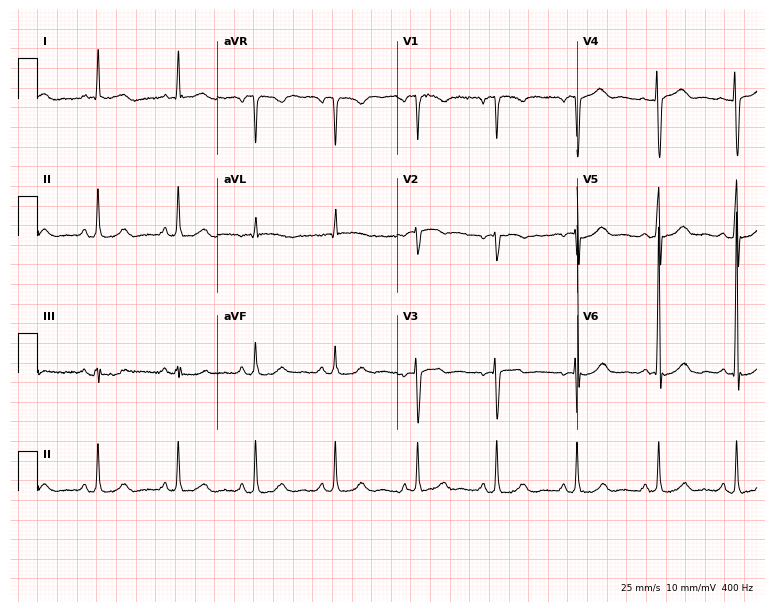
Resting 12-lead electrocardiogram. Patient: a woman, 60 years old. None of these six findings is recorded: first-degree AV block, right bundle branch block, left bundle branch block, sinus bradycardia, atrial fibrillation, sinus tachycardia.